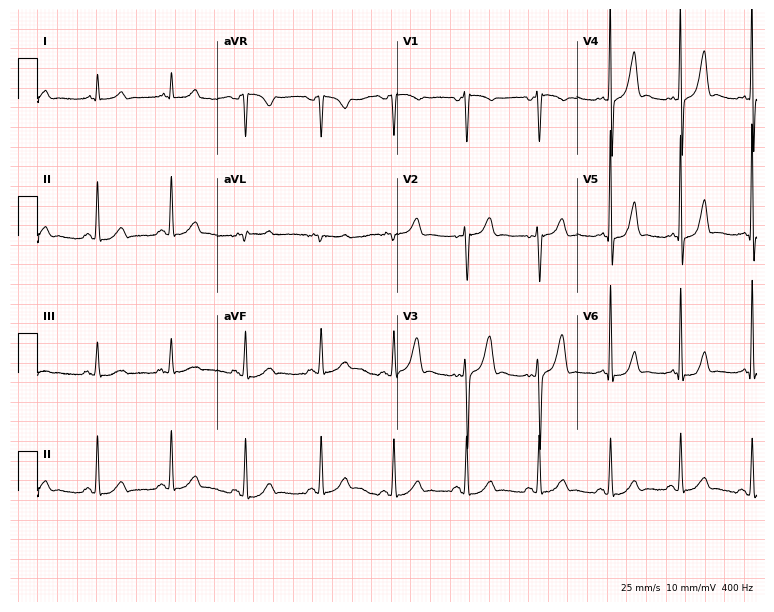
Standard 12-lead ECG recorded from a male patient, 35 years old. None of these six findings is recorded: first-degree AV block, right bundle branch block, left bundle branch block, sinus bradycardia, atrial fibrillation, sinus tachycardia. Only these six findings were labelled.